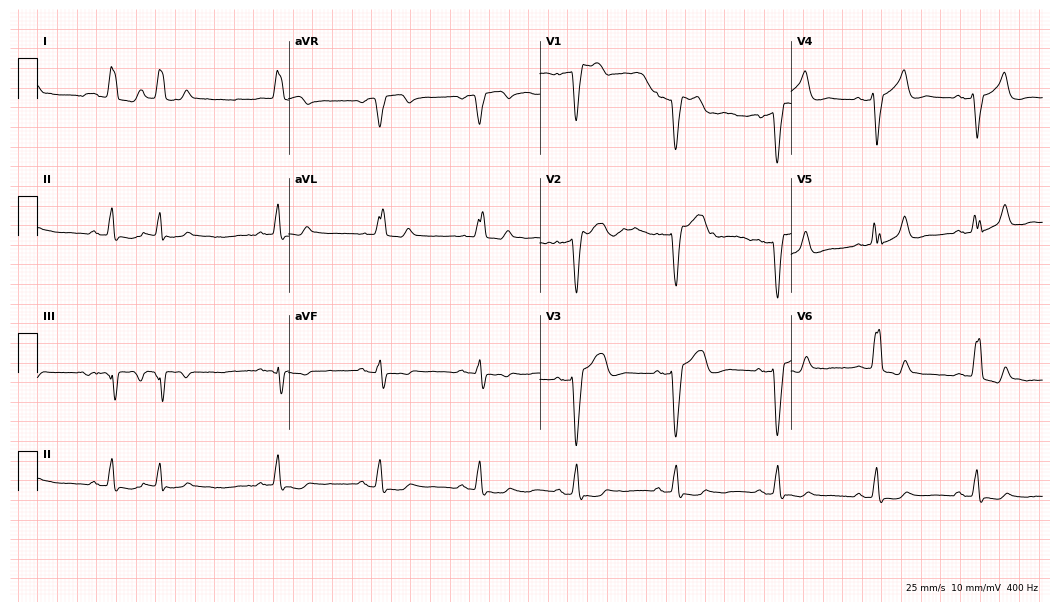
Resting 12-lead electrocardiogram (10.2-second recording at 400 Hz). Patient: an 81-year-old male. The tracing shows left bundle branch block.